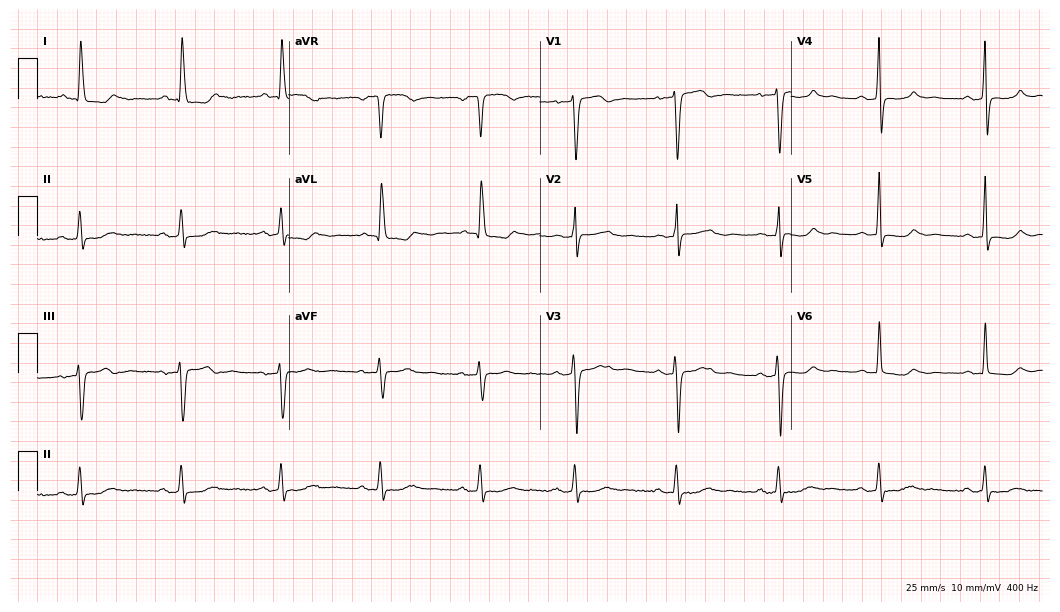
Resting 12-lead electrocardiogram (10.2-second recording at 400 Hz). Patient: a woman, 65 years old. None of these six findings is recorded: first-degree AV block, right bundle branch block, left bundle branch block, sinus bradycardia, atrial fibrillation, sinus tachycardia. Only these six findings were labelled.